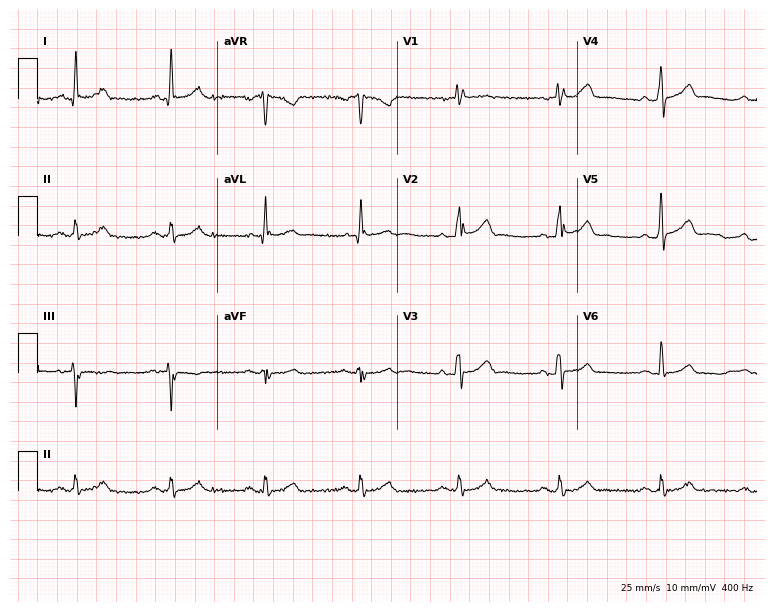
Standard 12-lead ECG recorded from a 56-year-old male. None of these six findings is recorded: first-degree AV block, right bundle branch block, left bundle branch block, sinus bradycardia, atrial fibrillation, sinus tachycardia.